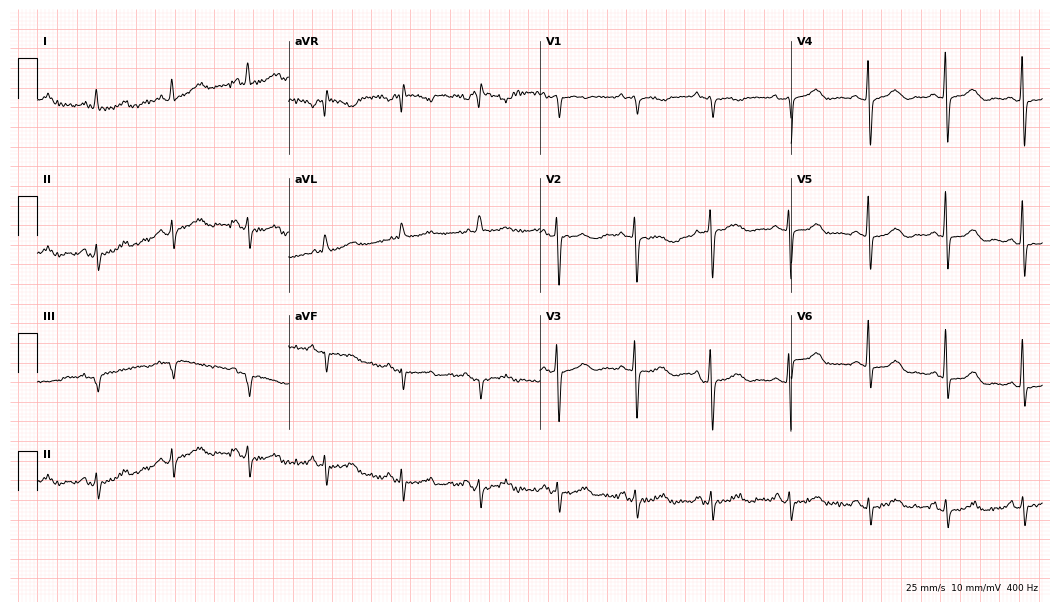
12-lead ECG from a 68-year-old woman. No first-degree AV block, right bundle branch block (RBBB), left bundle branch block (LBBB), sinus bradycardia, atrial fibrillation (AF) or sinus tachycardia recorded for this tracing.